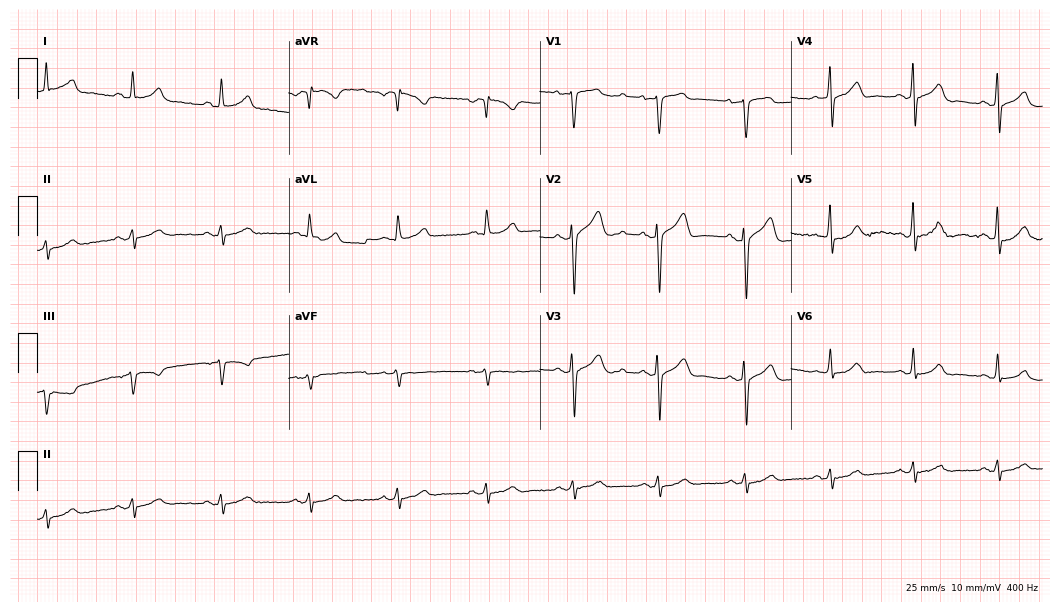
12-lead ECG from a man, 44 years old. Recorded interpretation: within normal limits.